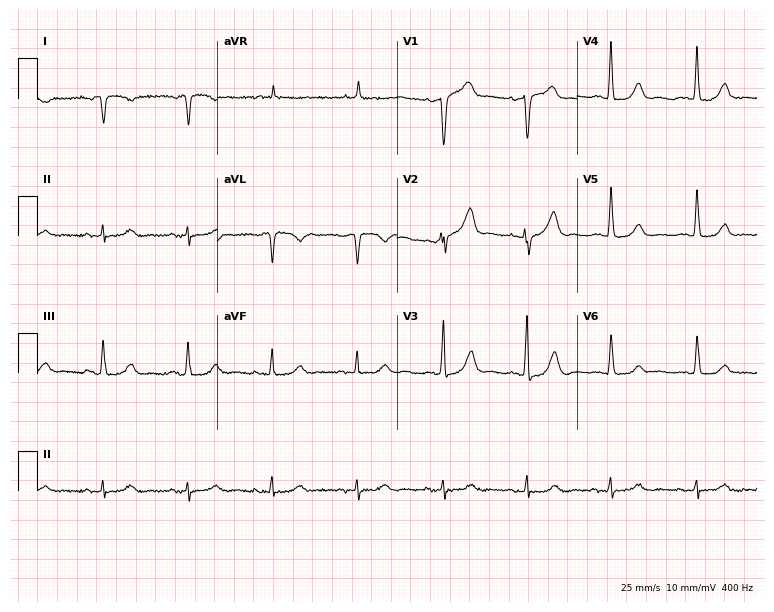
12-lead ECG from a female, 75 years old. No first-degree AV block, right bundle branch block, left bundle branch block, sinus bradycardia, atrial fibrillation or sinus tachycardia recorded for this tracing.